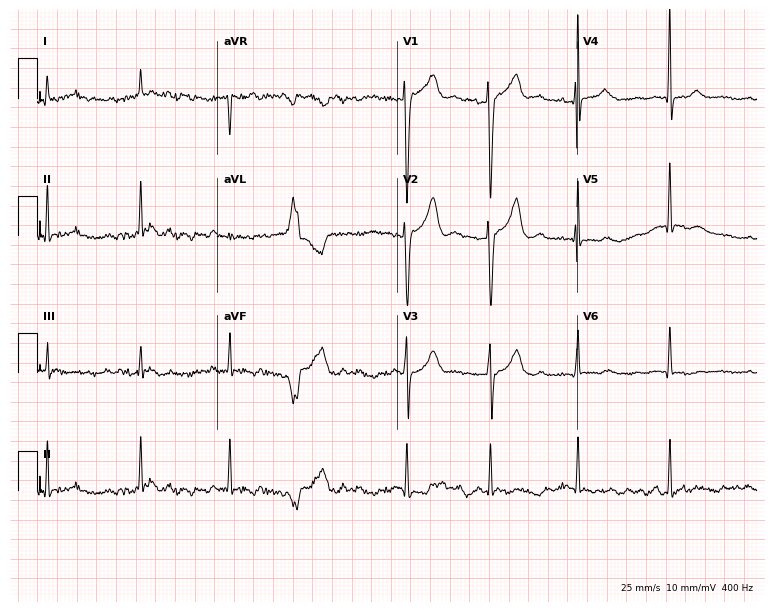
12-lead ECG (7.3-second recording at 400 Hz) from a male patient, 55 years old. Screened for six findings — first-degree AV block, right bundle branch block, left bundle branch block, sinus bradycardia, atrial fibrillation, sinus tachycardia — none is recorded. Other findings, if any, are not listed.